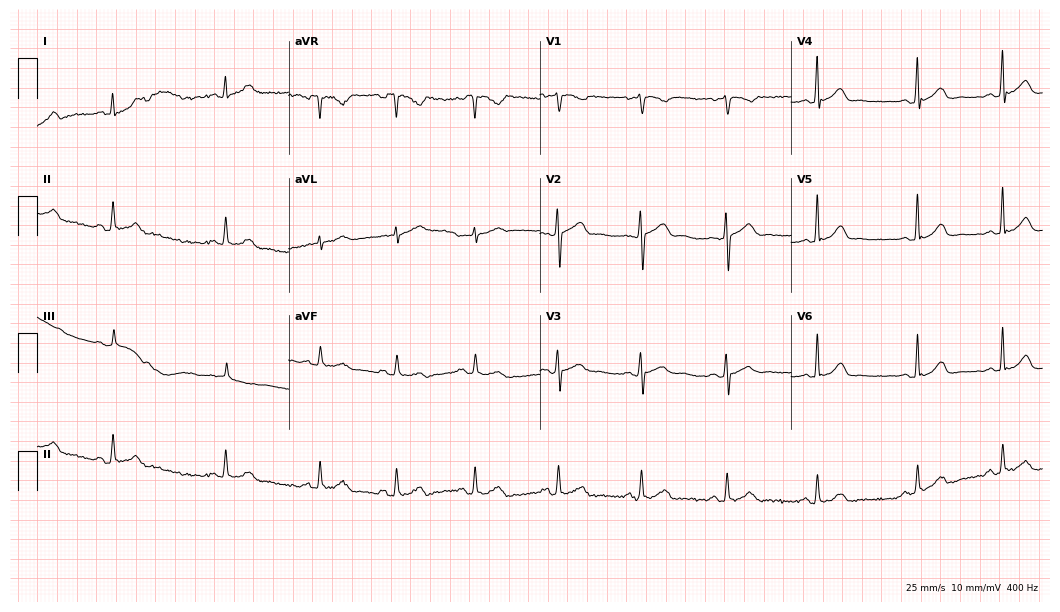
12-lead ECG from a female patient, 24 years old. Labelled as a normal ECG.